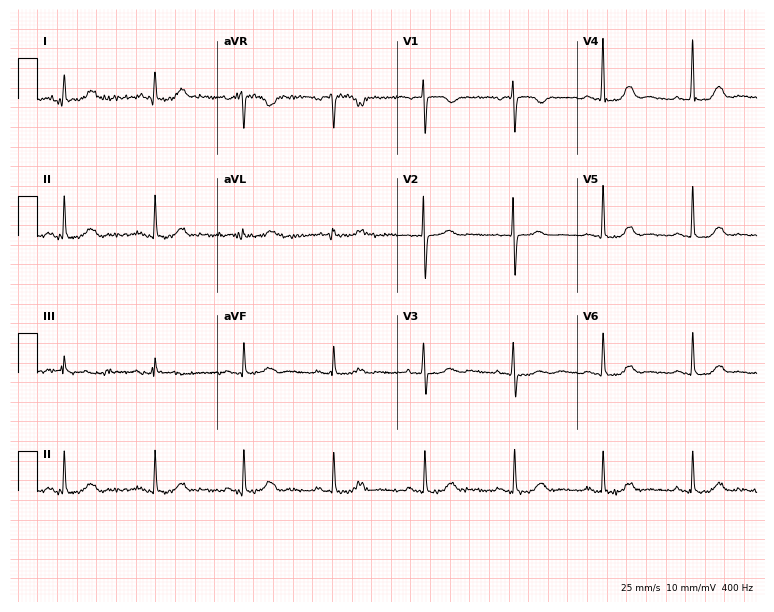
12-lead ECG from a 71-year-old woman (7.3-second recording at 400 Hz). Recorded interpretation: within normal limits.